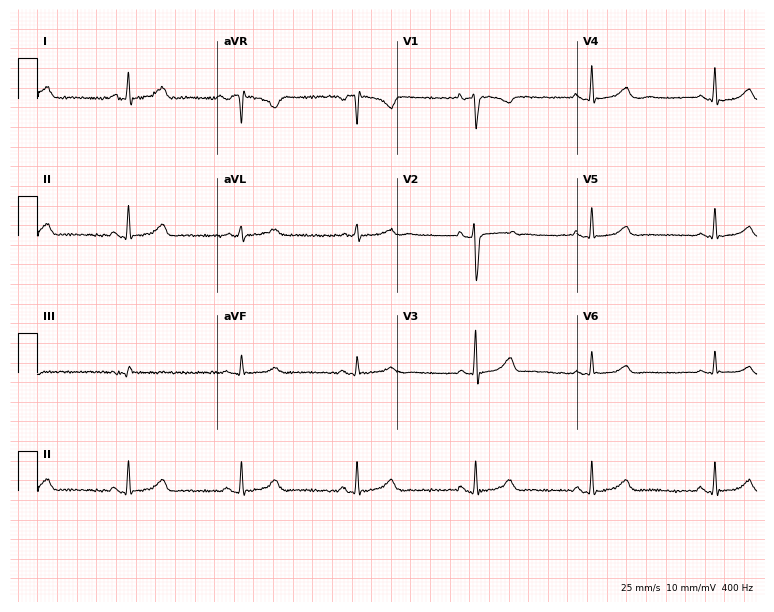
ECG — a 36-year-old female patient. Labelled as a normal ECG.